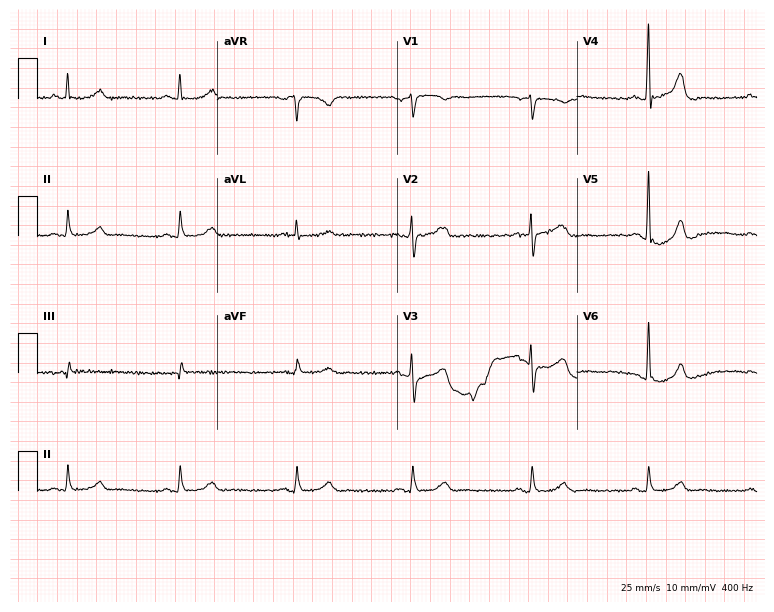
Electrocardiogram (7.3-second recording at 400 Hz), a male, 60 years old. Of the six screened findings (first-degree AV block, right bundle branch block, left bundle branch block, sinus bradycardia, atrial fibrillation, sinus tachycardia), none is recorded. Only these six findings were labelled.